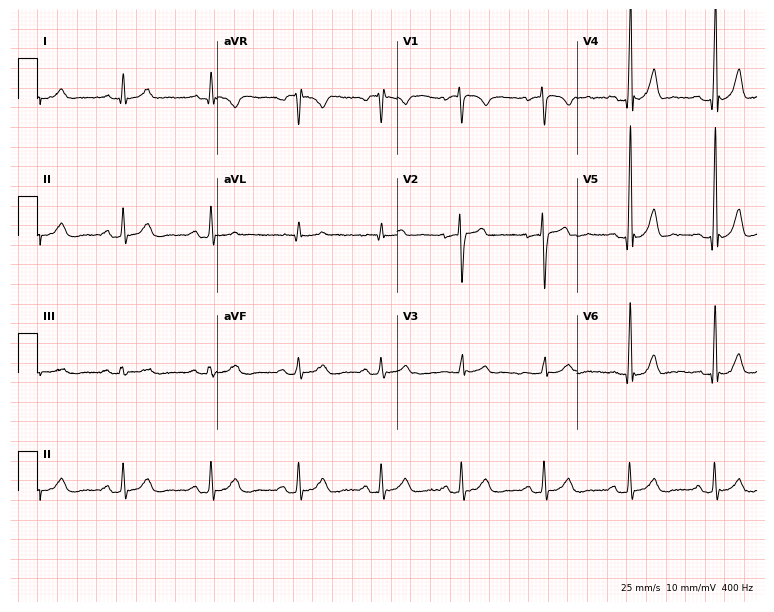
12-lead ECG (7.3-second recording at 400 Hz) from a 34-year-old male patient. Labelled as a normal ECG.